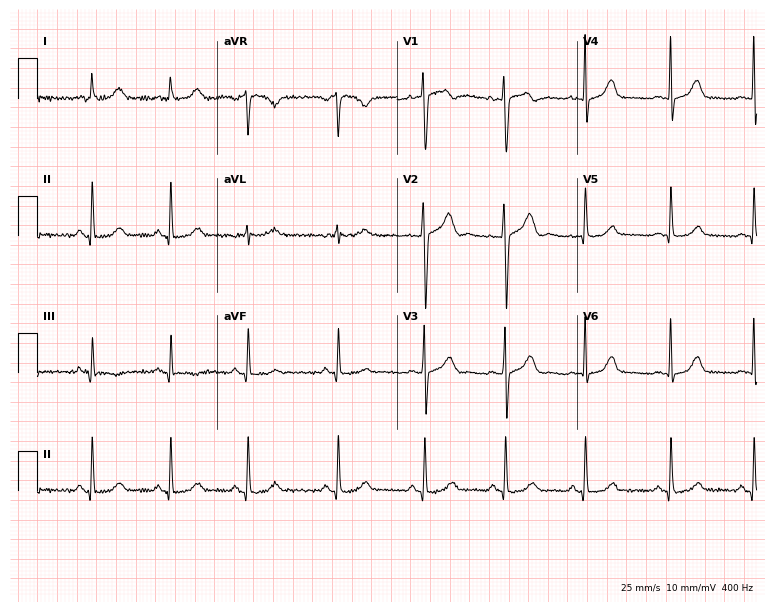
Resting 12-lead electrocardiogram. Patient: a female, 27 years old. Read as a normal ECG.